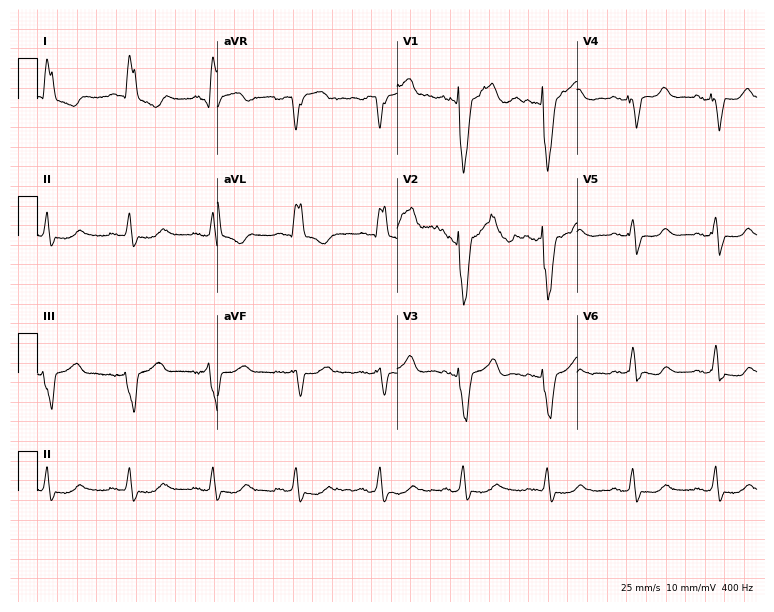
12-lead ECG (7.3-second recording at 400 Hz) from a 77-year-old female patient. Findings include left bundle branch block.